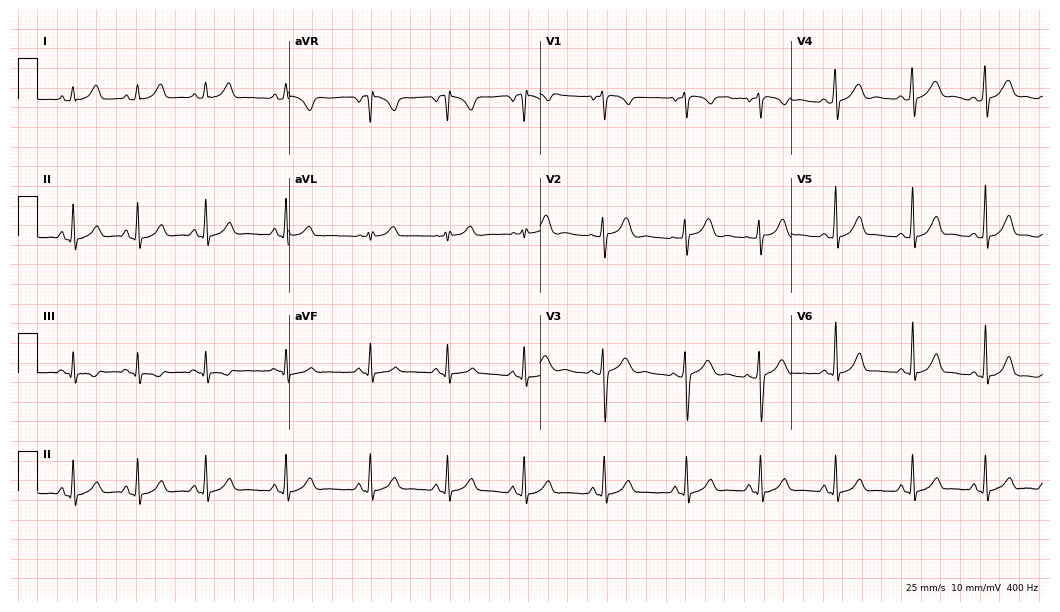
12-lead ECG from a 25-year-old woman. Recorded interpretation: within normal limits.